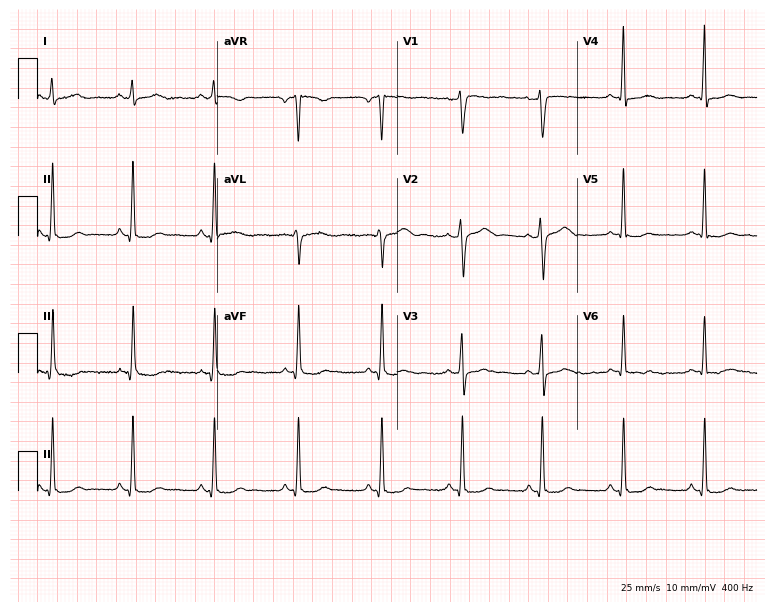
Resting 12-lead electrocardiogram (7.3-second recording at 400 Hz). Patient: a woman, 37 years old. None of these six findings is recorded: first-degree AV block, right bundle branch block, left bundle branch block, sinus bradycardia, atrial fibrillation, sinus tachycardia. Findings outside these six are not listed.